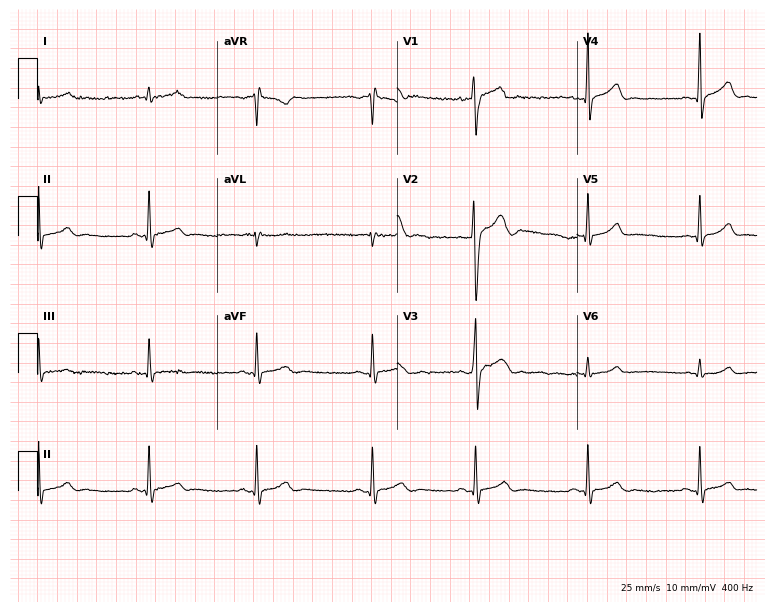
Resting 12-lead electrocardiogram. Patient: a man, 17 years old. None of these six findings is recorded: first-degree AV block, right bundle branch block, left bundle branch block, sinus bradycardia, atrial fibrillation, sinus tachycardia.